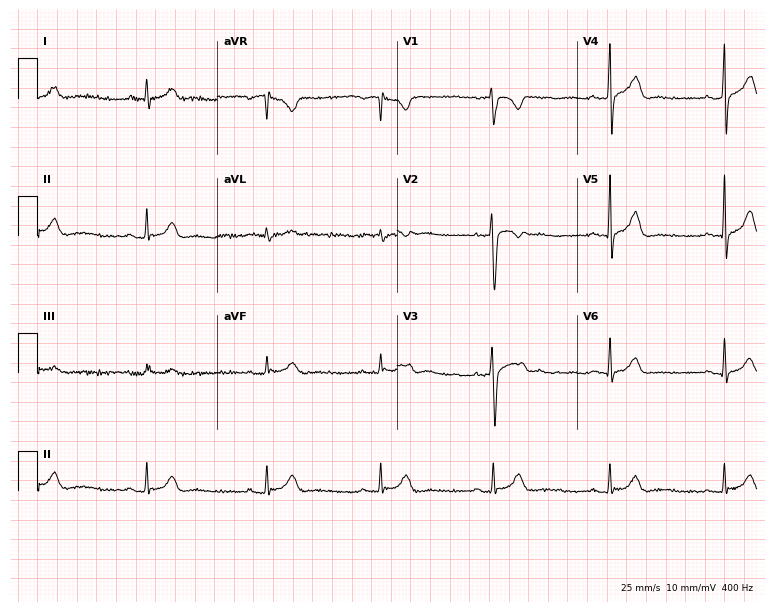
Electrocardiogram, a female, 33 years old. Of the six screened findings (first-degree AV block, right bundle branch block (RBBB), left bundle branch block (LBBB), sinus bradycardia, atrial fibrillation (AF), sinus tachycardia), none is recorded.